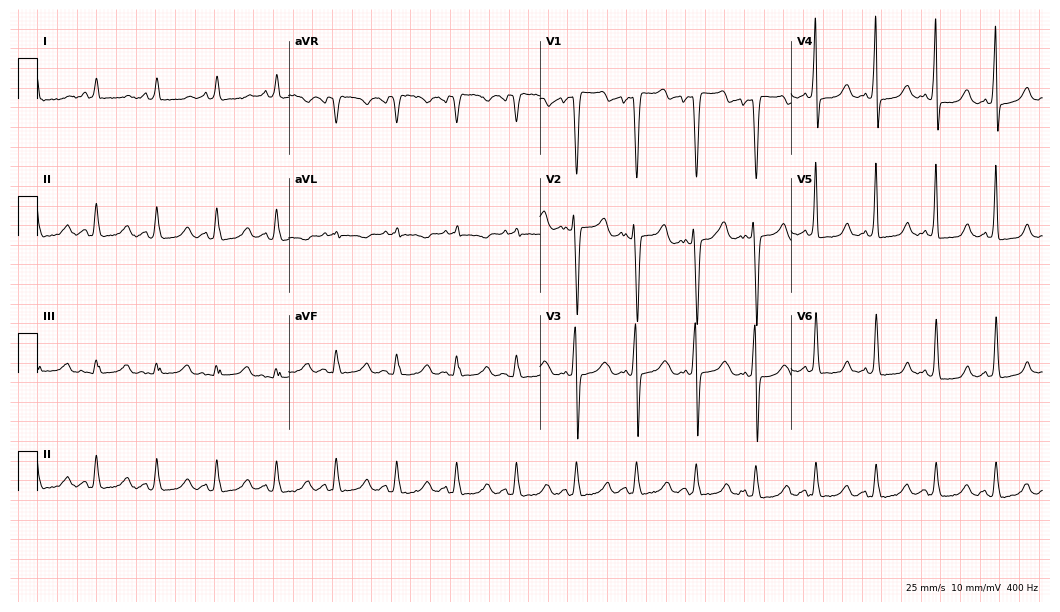
Standard 12-lead ECG recorded from a 53-year-old male patient. None of these six findings is recorded: first-degree AV block, right bundle branch block, left bundle branch block, sinus bradycardia, atrial fibrillation, sinus tachycardia. Findings outside these six are not listed.